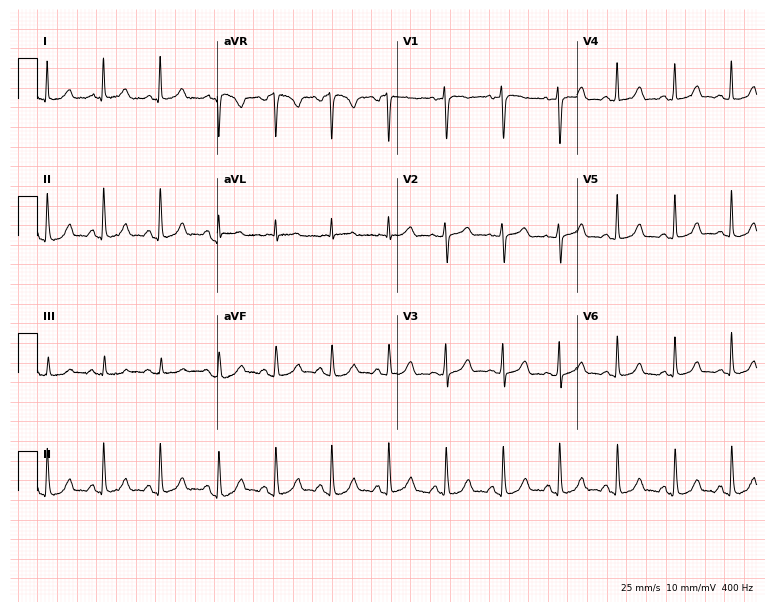
12-lead ECG (7.3-second recording at 400 Hz) from a woman, 58 years old. Findings include sinus tachycardia (a sinus rate of 100 beats per minute or more).